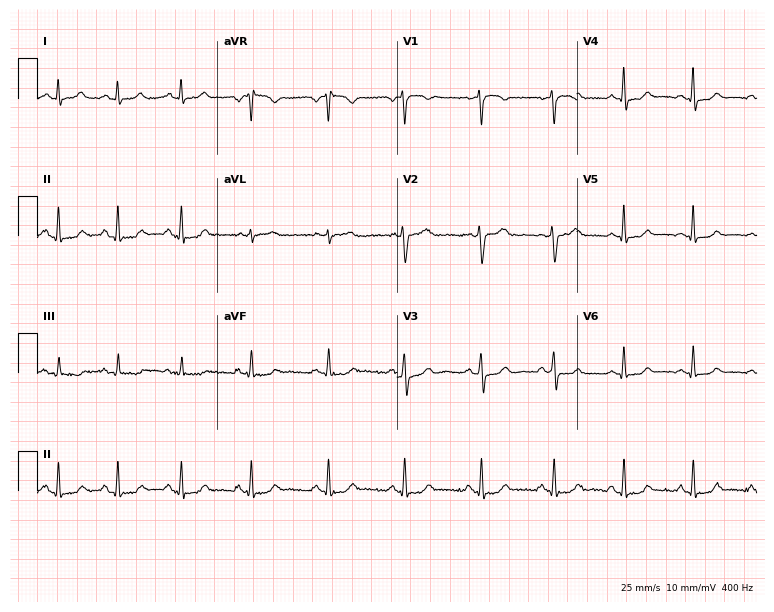
12-lead ECG (7.3-second recording at 400 Hz) from a 33-year-old woman. Screened for six findings — first-degree AV block, right bundle branch block, left bundle branch block, sinus bradycardia, atrial fibrillation, sinus tachycardia — none is recorded.